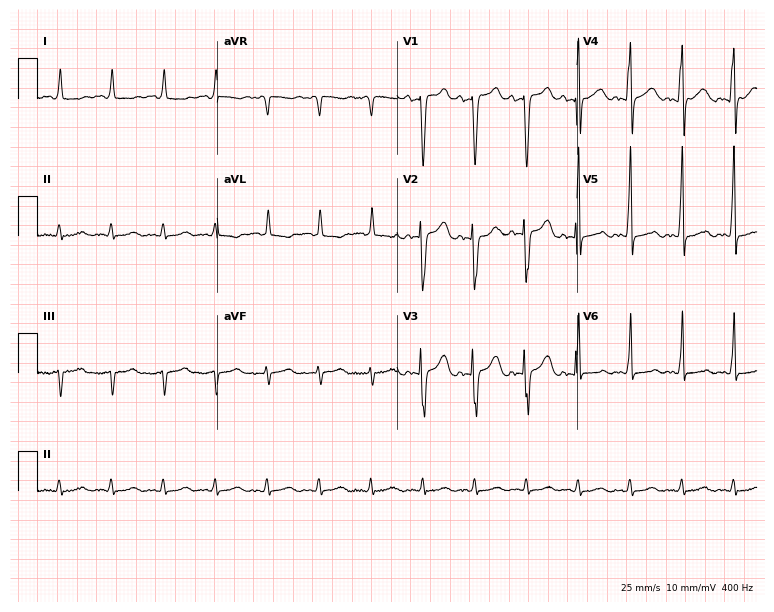
Standard 12-lead ECG recorded from a 75-year-old male. The tracing shows sinus tachycardia (a sinus rate of 100 beats per minute or more).